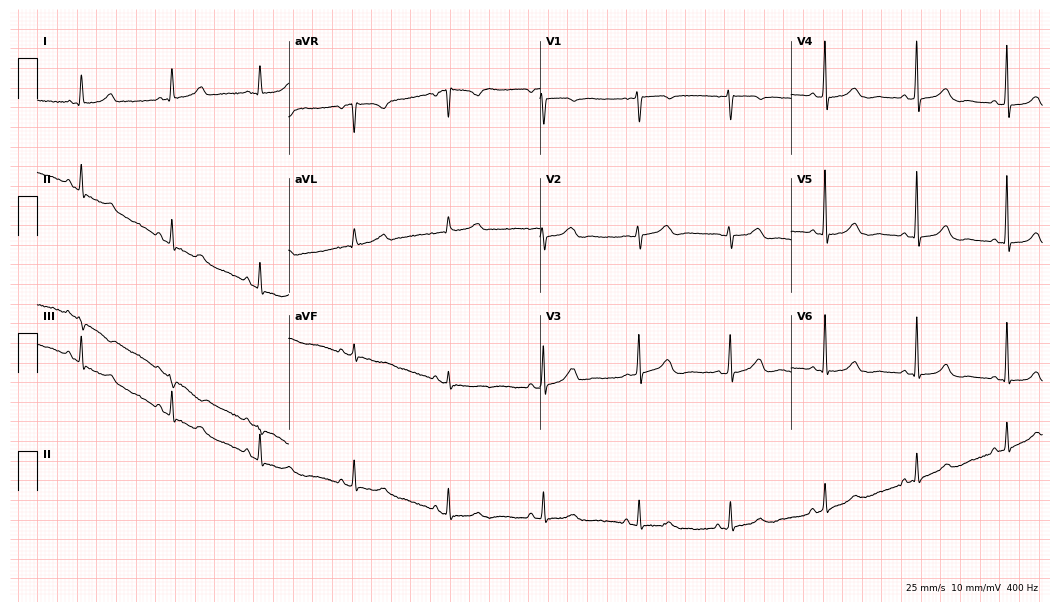
ECG — a 59-year-old female. Screened for six findings — first-degree AV block, right bundle branch block, left bundle branch block, sinus bradycardia, atrial fibrillation, sinus tachycardia — none is recorded. Other findings, if any, are not listed.